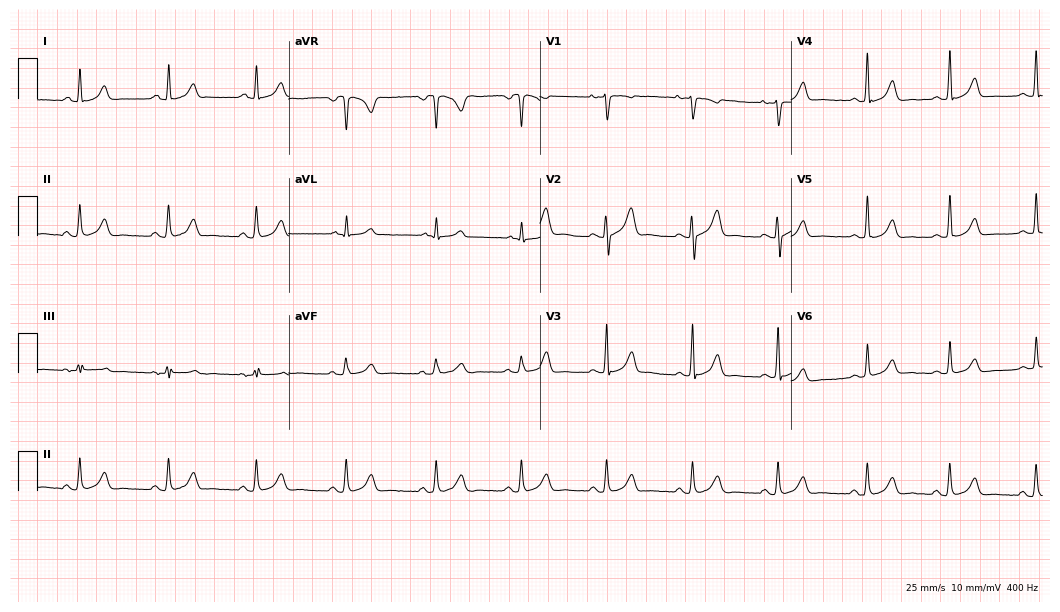
12-lead ECG from a 30-year-old female patient. No first-degree AV block, right bundle branch block, left bundle branch block, sinus bradycardia, atrial fibrillation or sinus tachycardia recorded for this tracing.